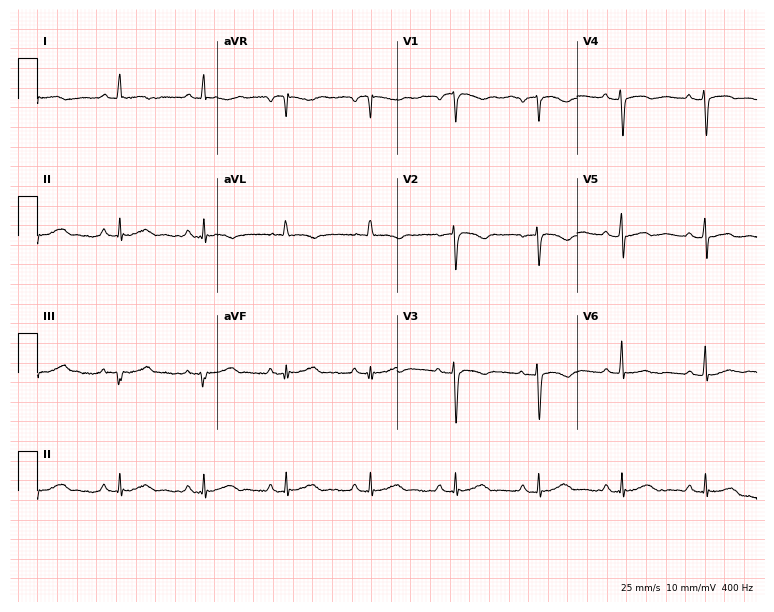
12-lead ECG from a woman, 71 years old. No first-degree AV block, right bundle branch block, left bundle branch block, sinus bradycardia, atrial fibrillation or sinus tachycardia recorded for this tracing. Only these six findings were labelled.